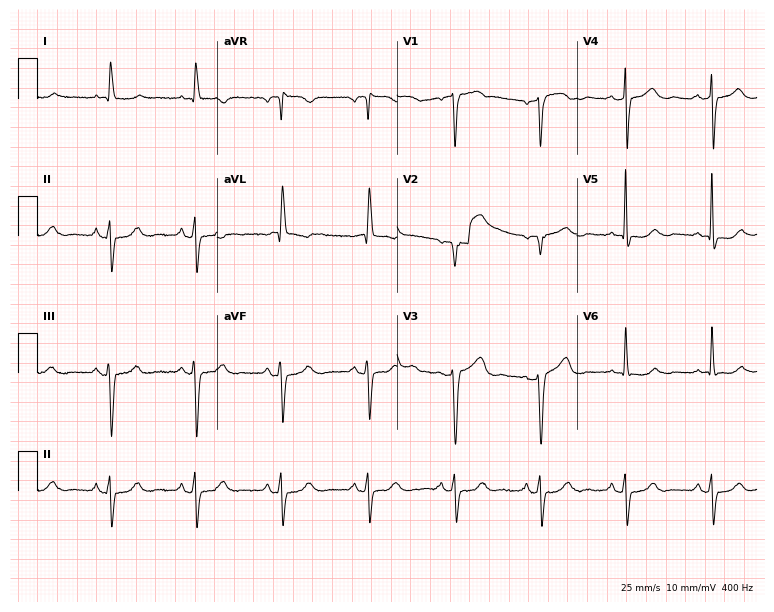
Standard 12-lead ECG recorded from a 74-year-old female patient (7.3-second recording at 400 Hz). None of these six findings is recorded: first-degree AV block, right bundle branch block (RBBB), left bundle branch block (LBBB), sinus bradycardia, atrial fibrillation (AF), sinus tachycardia. Other findings, if any, are not listed.